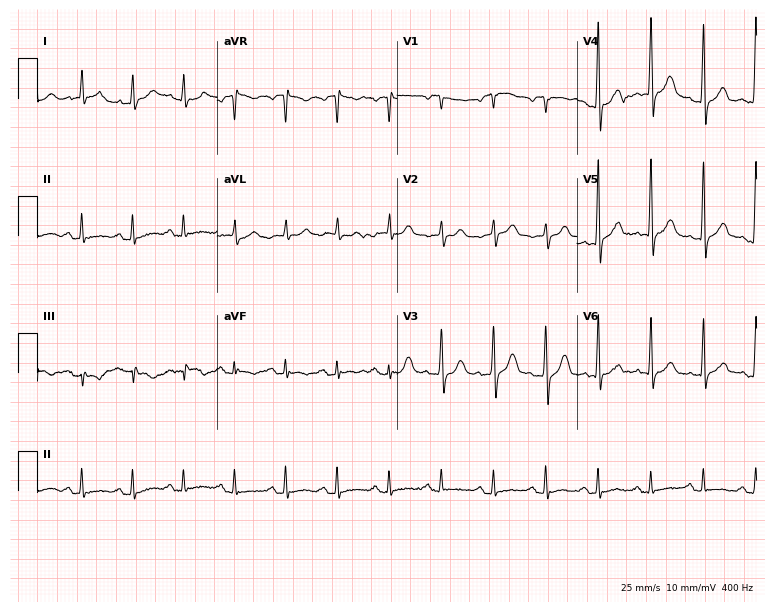
Resting 12-lead electrocardiogram (7.3-second recording at 400 Hz). Patient: a male, 62 years old. The tracing shows sinus tachycardia (a sinus rate of 100 beats per minute or more).